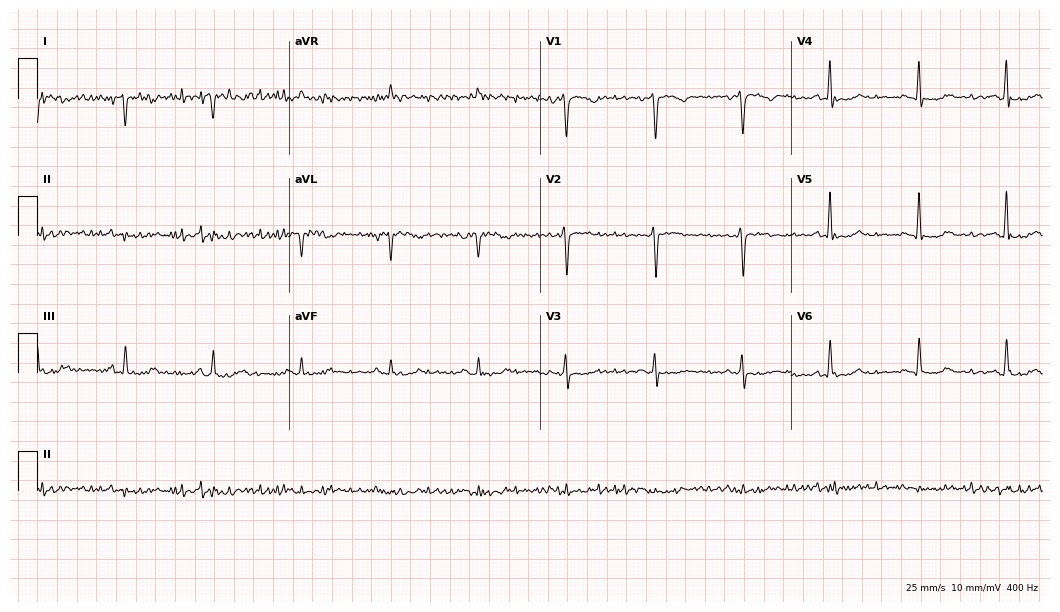
Resting 12-lead electrocardiogram (10.2-second recording at 400 Hz). Patient: a woman, 70 years old. None of these six findings is recorded: first-degree AV block, right bundle branch block, left bundle branch block, sinus bradycardia, atrial fibrillation, sinus tachycardia.